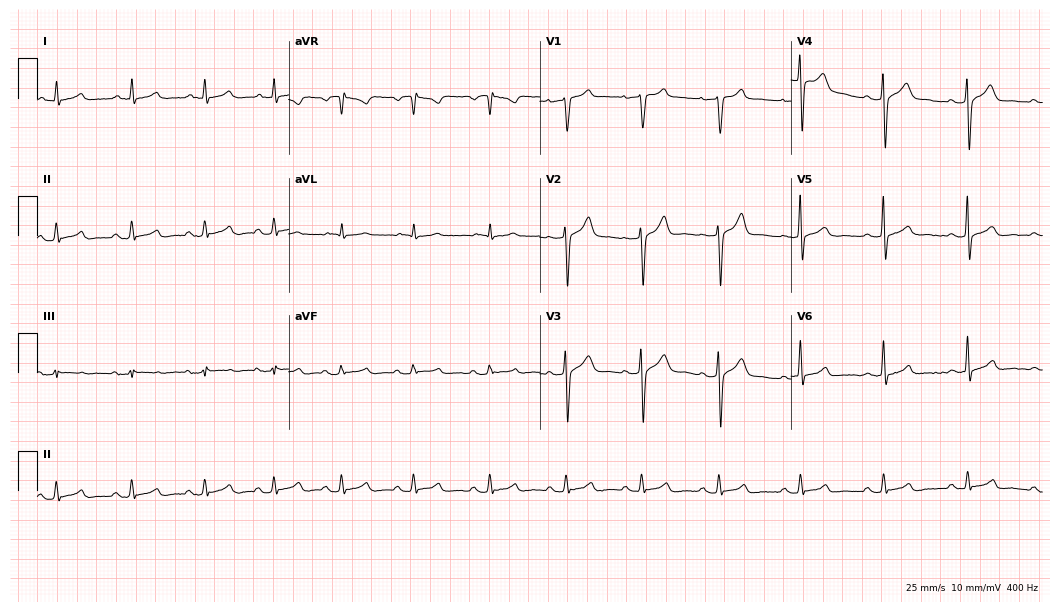
12-lead ECG from a woman, 66 years old (10.2-second recording at 400 Hz). Recorded interpretation: within normal limits.